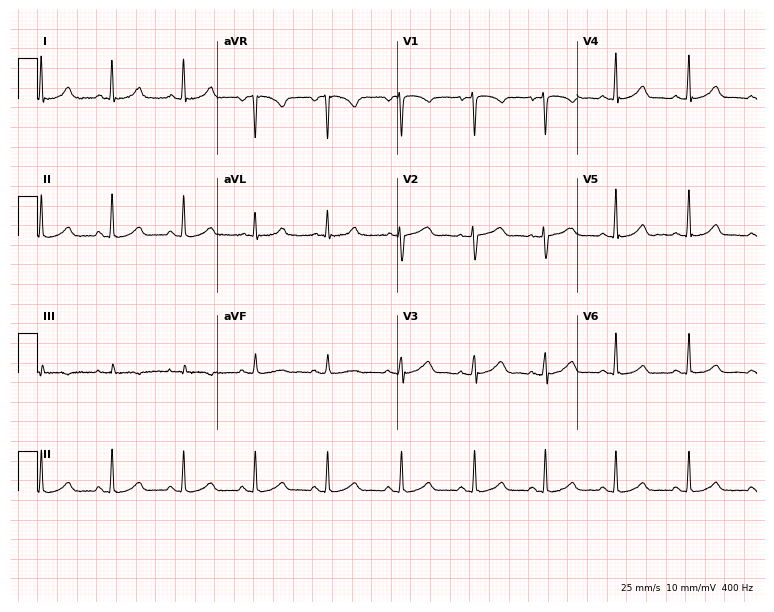
12-lead ECG from a female, 43 years old. Screened for six findings — first-degree AV block, right bundle branch block, left bundle branch block, sinus bradycardia, atrial fibrillation, sinus tachycardia — none is recorded. Other findings, if any, are not listed.